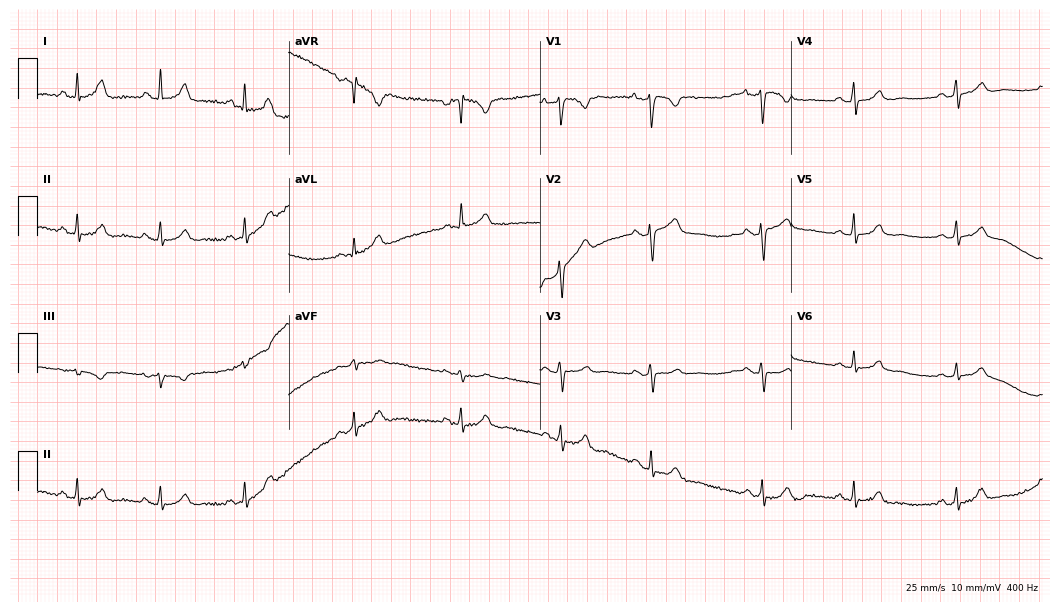
ECG — a female patient, 47 years old. Labelled as a normal ECG.